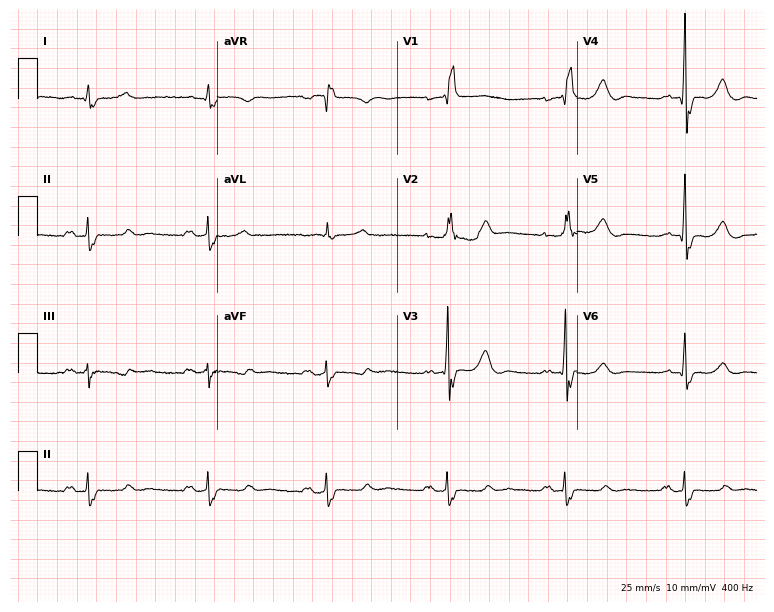
Electrocardiogram, a 59-year-old male patient. Interpretation includes first-degree AV block, right bundle branch block.